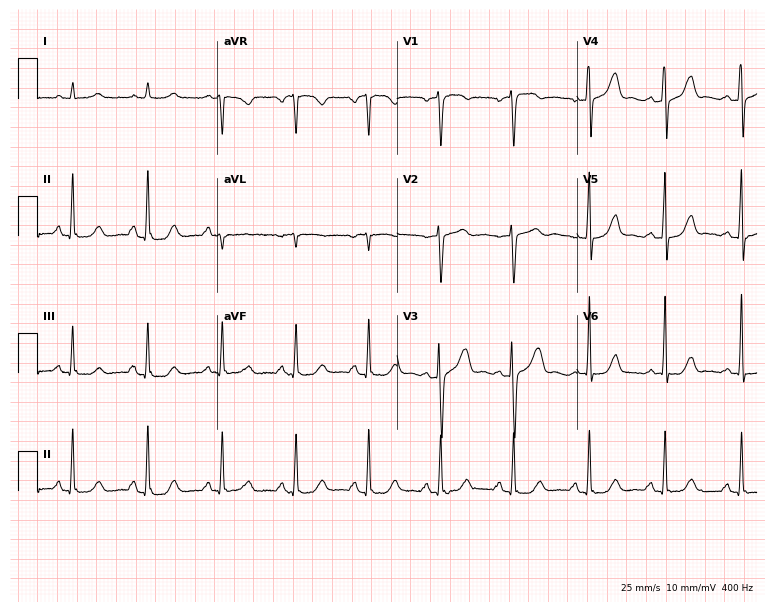
12-lead ECG from a man, 67 years old. Screened for six findings — first-degree AV block, right bundle branch block, left bundle branch block, sinus bradycardia, atrial fibrillation, sinus tachycardia — none is recorded.